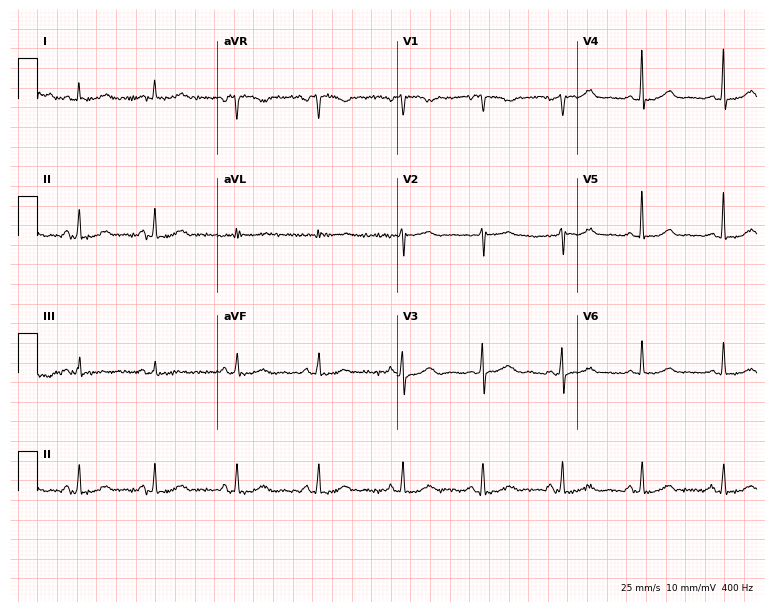
Resting 12-lead electrocardiogram. Patient: a 57-year-old female. None of these six findings is recorded: first-degree AV block, right bundle branch block, left bundle branch block, sinus bradycardia, atrial fibrillation, sinus tachycardia. Only these six findings were labelled.